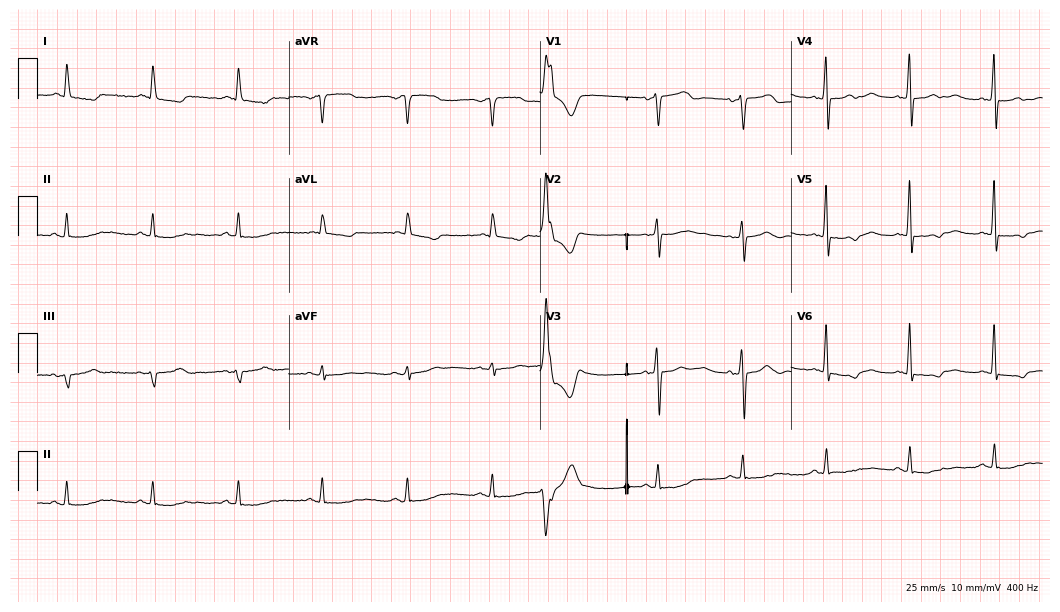
ECG (10.2-second recording at 400 Hz) — a female, 73 years old. Screened for six findings — first-degree AV block, right bundle branch block, left bundle branch block, sinus bradycardia, atrial fibrillation, sinus tachycardia — none is recorded. Findings outside these six are not listed.